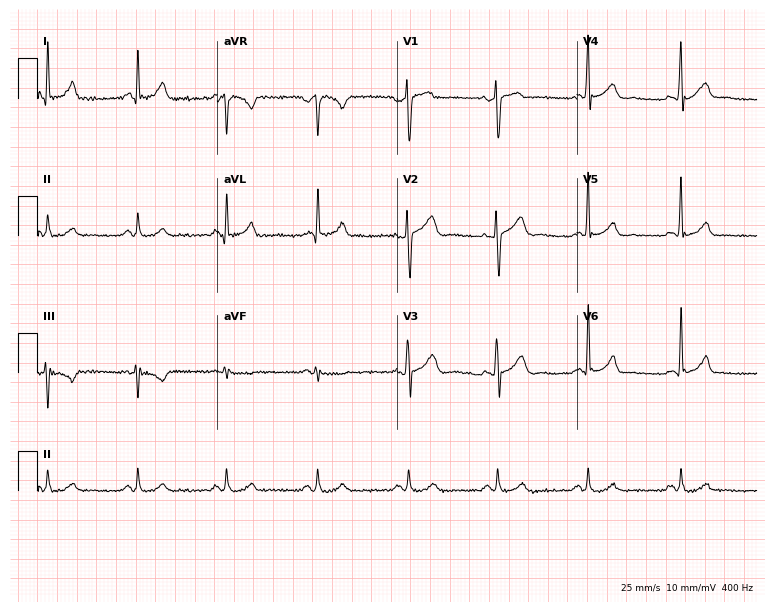
Electrocardiogram (7.3-second recording at 400 Hz), a 53-year-old male patient. Of the six screened findings (first-degree AV block, right bundle branch block (RBBB), left bundle branch block (LBBB), sinus bradycardia, atrial fibrillation (AF), sinus tachycardia), none is recorded.